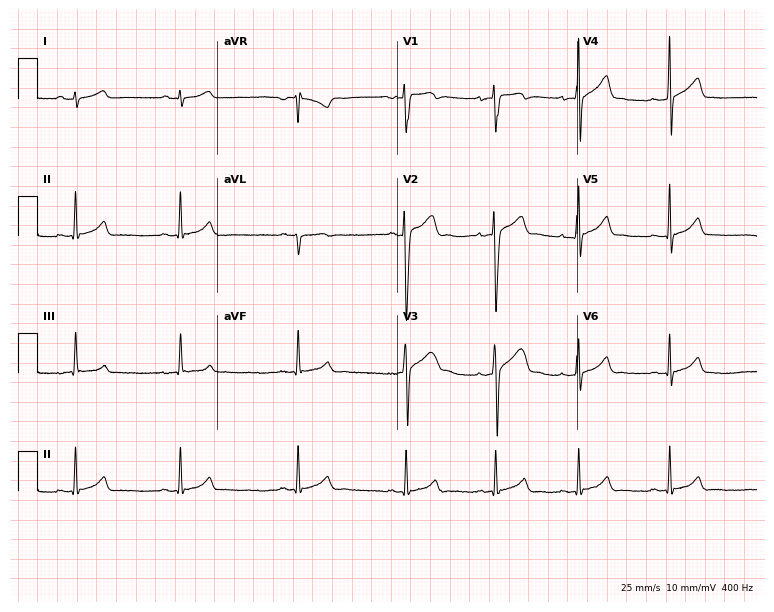
Resting 12-lead electrocardiogram. Patient: a man, 25 years old. Read as a normal ECG.